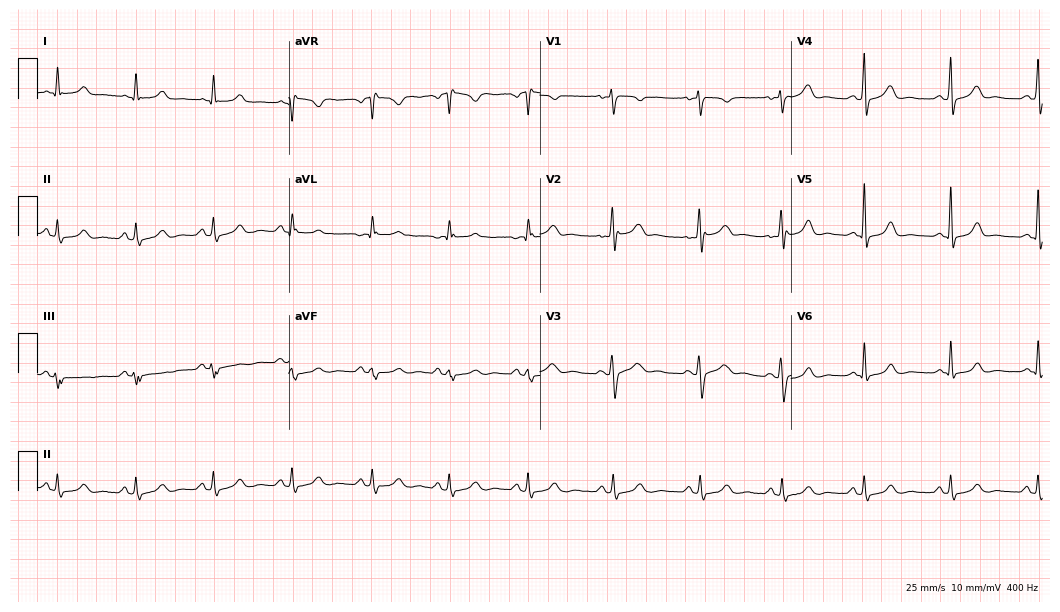
ECG (10.2-second recording at 400 Hz) — a female patient, 35 years old. Labelled as a normal ECG.